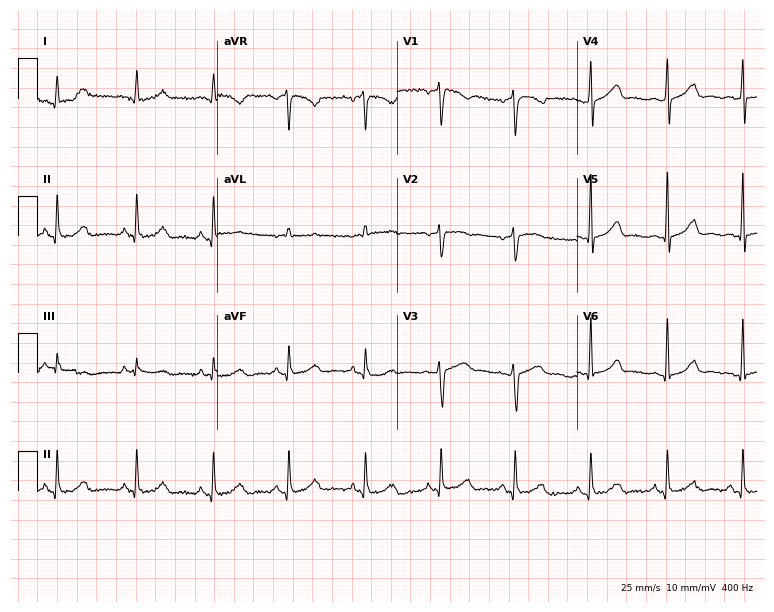
12-lead ECG from a female, 51 years old. Recorded interpretation: within normal limits.